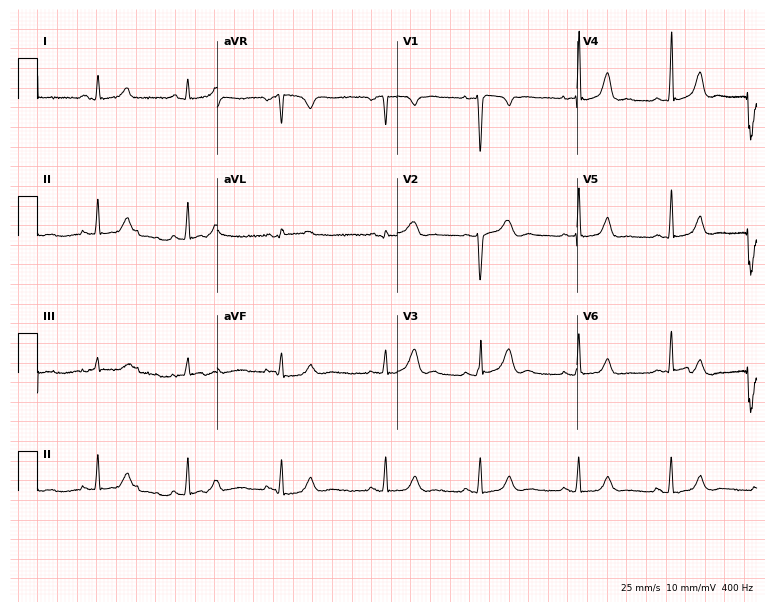
12-lead ECG from a 25-year-old female patient (7.3-second recording at 400 Hz). Recorded interpretation: within normal limits.